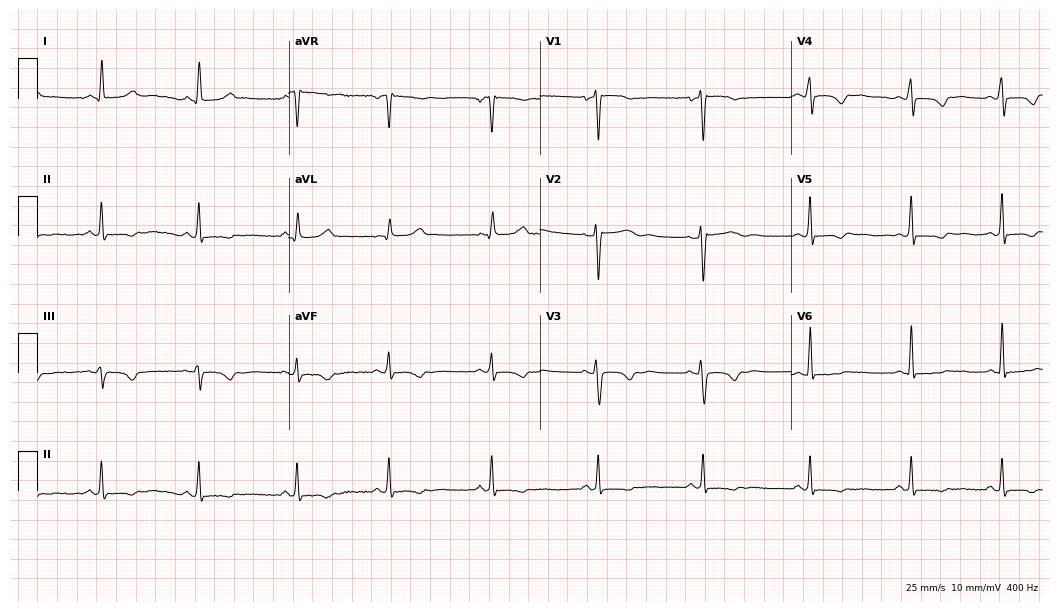
12-lead ECG from a female, 36 years old. Screened for six findings — first-degree AV block, right bundle branch block, left bundle branch block, sinus bradycardia, atrial fibrillation, sinus tachycardia — none is recorded. Findings outside these six are not listed.